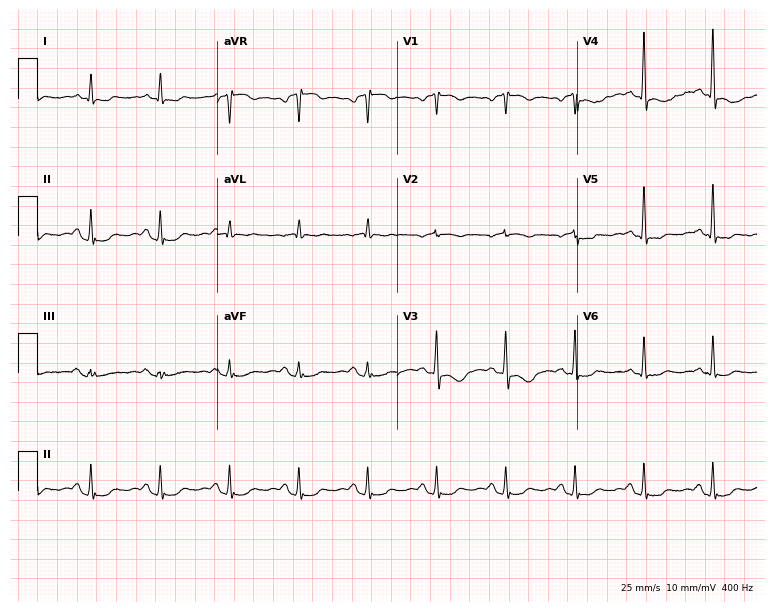
12-lead ECG from a 73-year-old female. No first-degree AV block, right bundle branch block (RBBB), left bundle branch block (LBBB), sinus bradycardia, atrial fibrillation (AF) or sinus tachycardia recorded for this tracing.